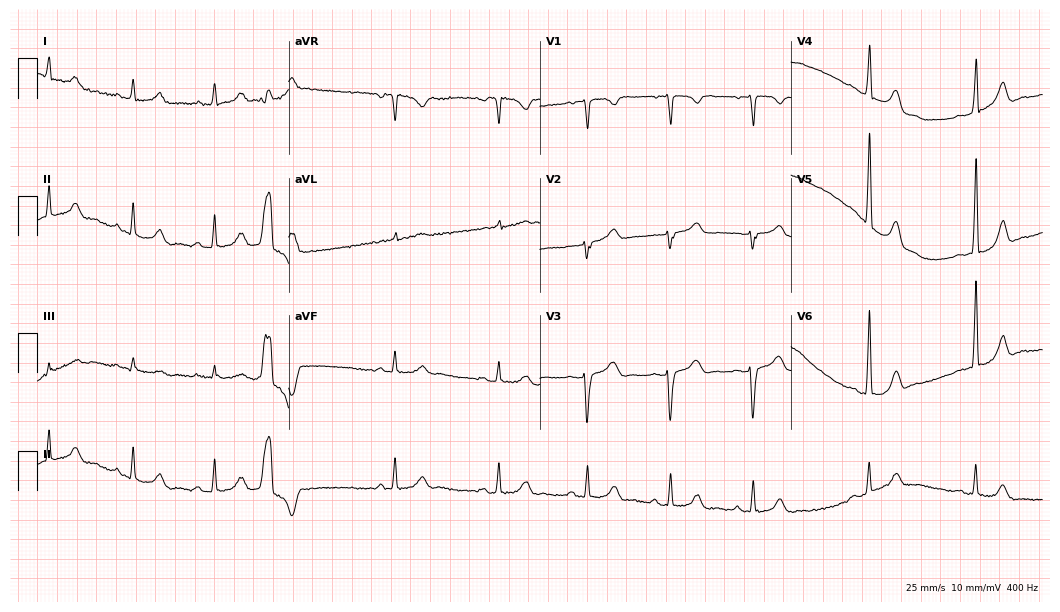
Resting 12-lead electrocardiogram. Patient: a 24-year-old woman. Read as a normal ECG.